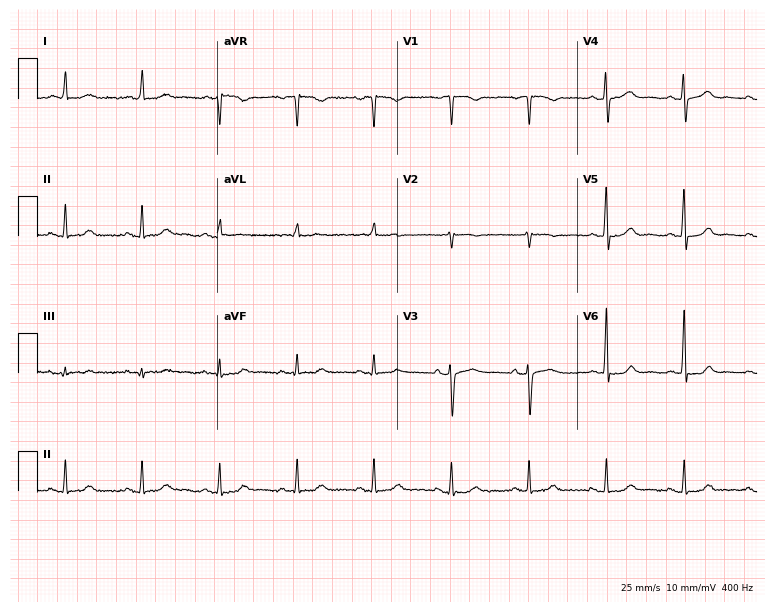
12-lead ECG (7.3-second recording at 400 Hz) from a female, 70 years old. Labelled as a normal ECG.